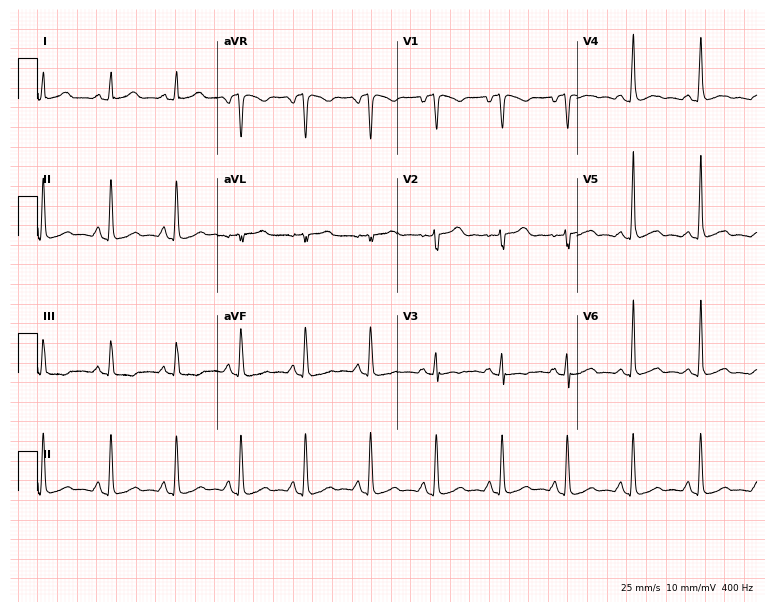
12-lead ECG from a 19-year-old woman. Labelled as a normal ECG.